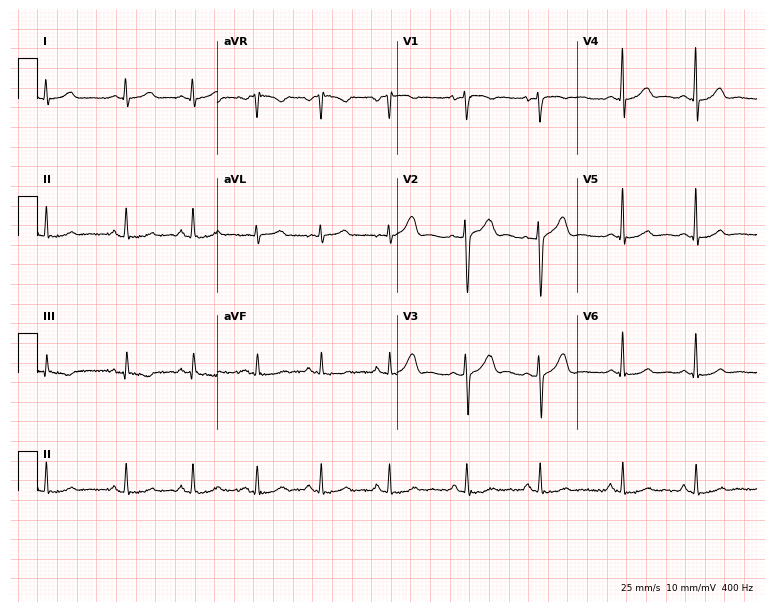
Resting 12-lead electrocardiogram (7.3-second recording at 400 Hz). Patient: a woman, 39 years old. None of these six findings is recorded: first-degree AV block, right bundle branch block, left bundle branch block, sinus bradycardia, atrial fibrillation, sinus tachycardia. Other findings, if any, are not listed.